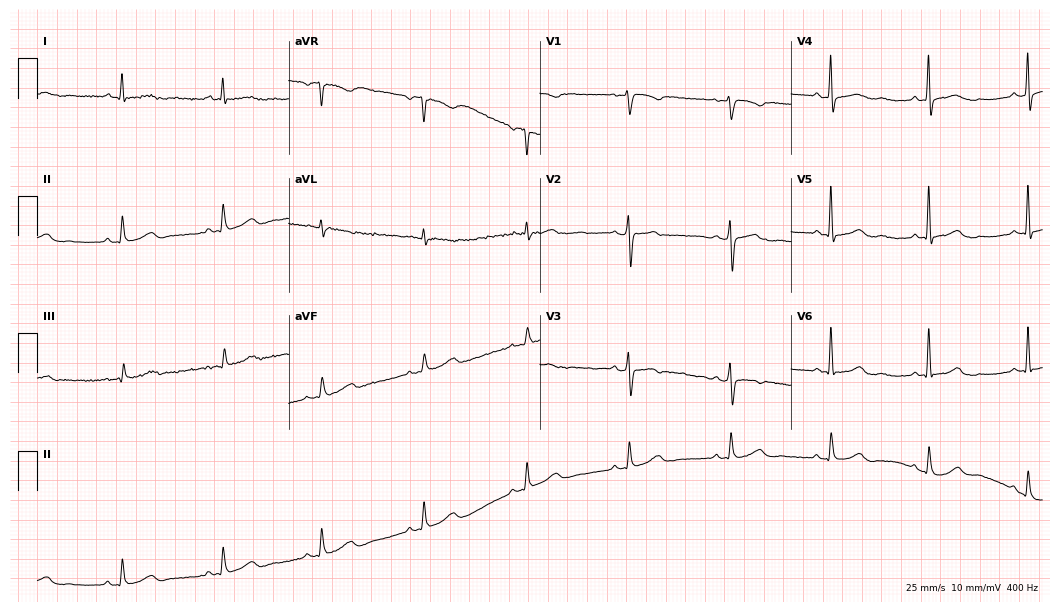
12-lead ECG (10.2-second recording at 400 Hz) from a 57-year-old female. Screened for six findings — first-degree AV block, right bundle branch block, left bundle branch block, sinus bradycardia, atrial fibrillation, sinus tachycardia — none is recorded.